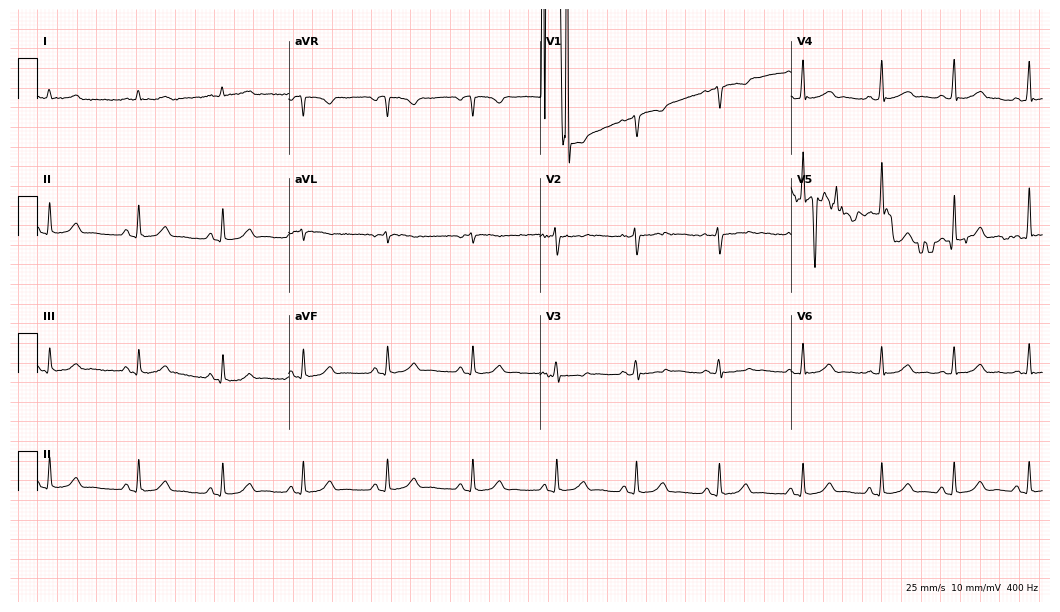
Resting 12-lead electrocardiogram (10.2-second recording at 400 Hz). Patient: a 30-year-old female. None of these six findings is recorded: first-degree AV block, right bundle branch block, left bundle branch block, sinus bradycardia, atrial fibrillation, sinus tachycardia. Findings outside these six are not listed.